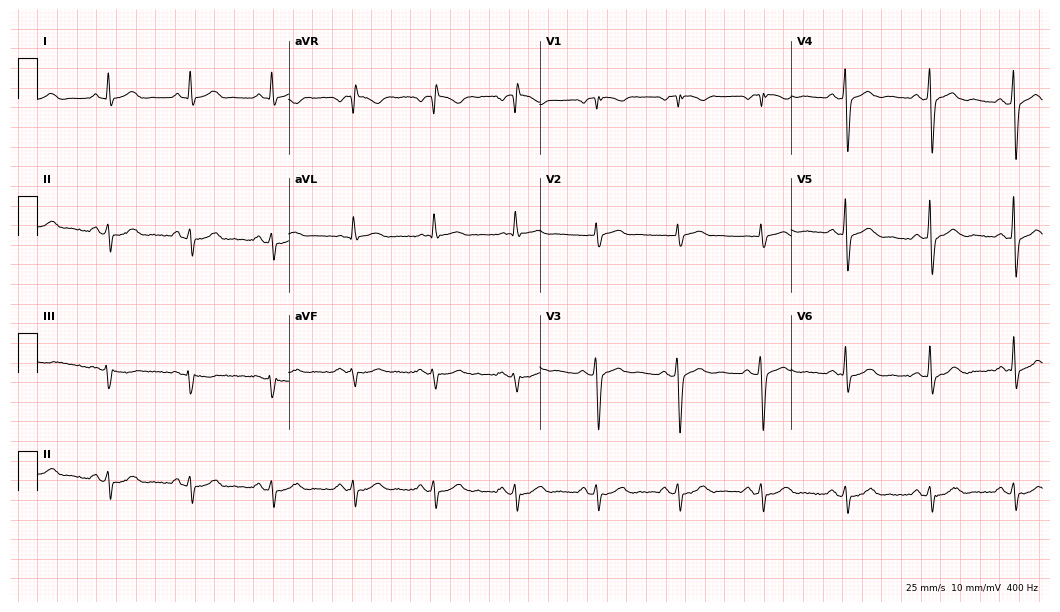
12-lead ECG from a male, 56 years old. Screened for six findings — first-degree AV block, right bundle branch block, left bundle branch block, sinus bradycardia, atrial fibrillation, sinus tachycardia — none is recorded. Findings outside these six are not listed.